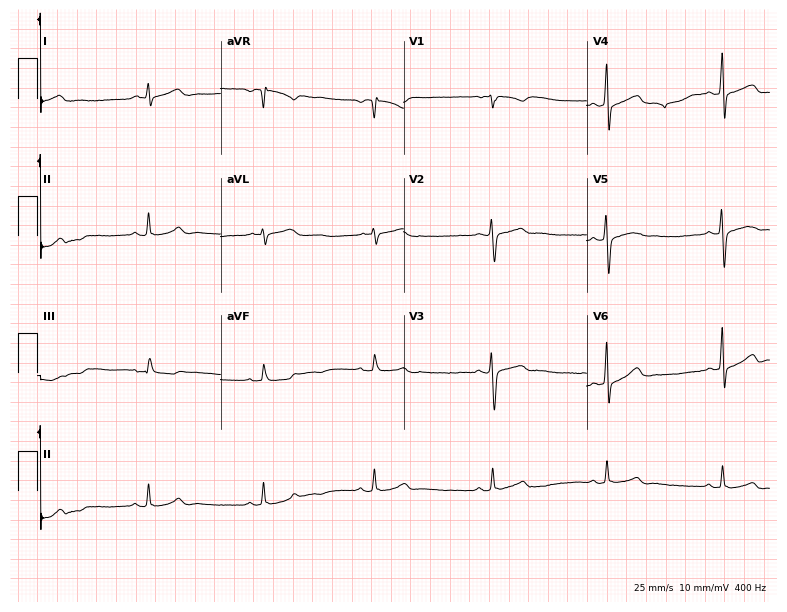
ECG — a 23-year-old woman. Screened for six findings — first-degree AV block, right bundle branch block (RBBB), left bundle branch block (LBBB), sinus bradycardia, atrial fibrillation (AF), sinus tachycardia — none is recorded.